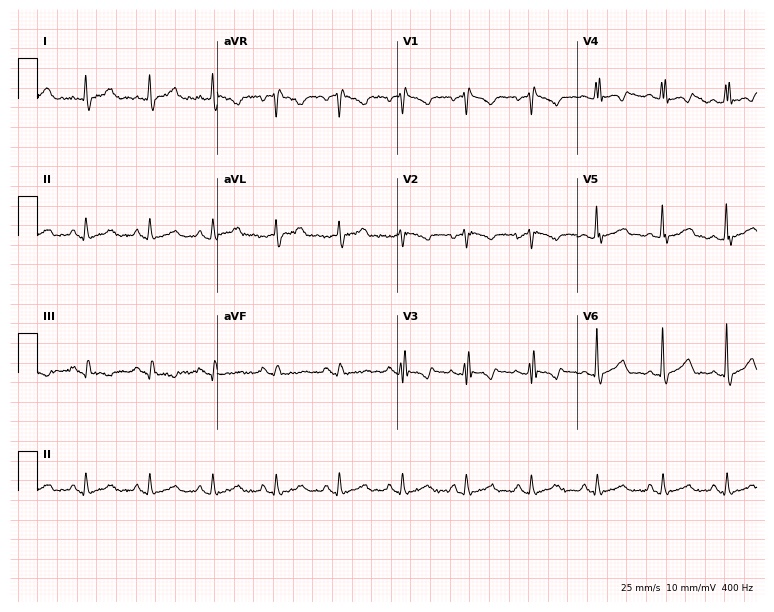
12-lead ECG from a 42-year-old male. No first-degree AV block, right bundle branch block, left bundle branch block, sinus bradycardia, atrial fibrillation or sinus tachycardia recorded for this tracing.